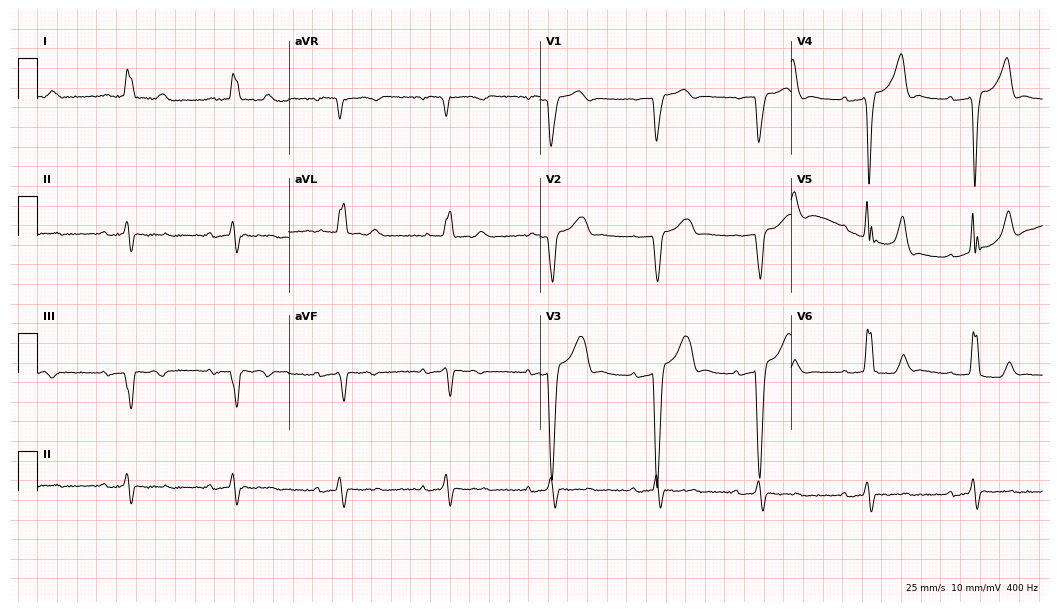
12-lead ECG from a 79-year-old female. Shows left bundle branch block.